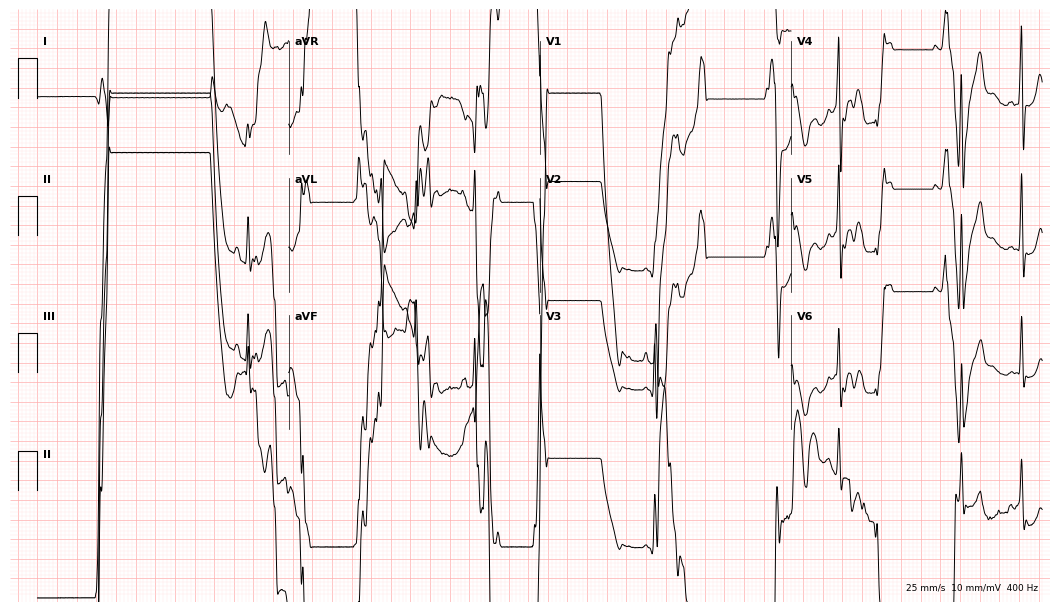
12-lead ECG from a 17-year-old male patient. No first-degree AV block, right bundle branch block (RBBB), left bundle branch block (LBBB), sinus bradycardia, atrial fibrillation (AF) or sinus tachycardia recorded for this tracing.